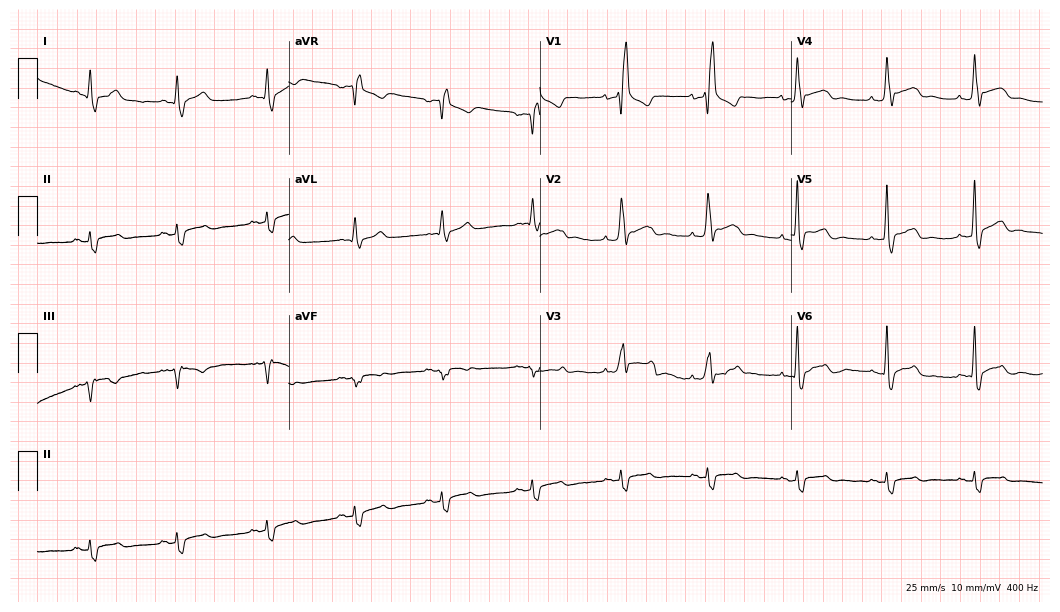
ECG (10.2-second recording at 400 Hz) — a 46-year-old male. Screened for six findings — first-degree AV block, right bundle branch block (RBBB), left bundle branch block (LBBB), sinus bradycardia, atrial fibrillation (AF), sinus tachycardia — none is recorded.